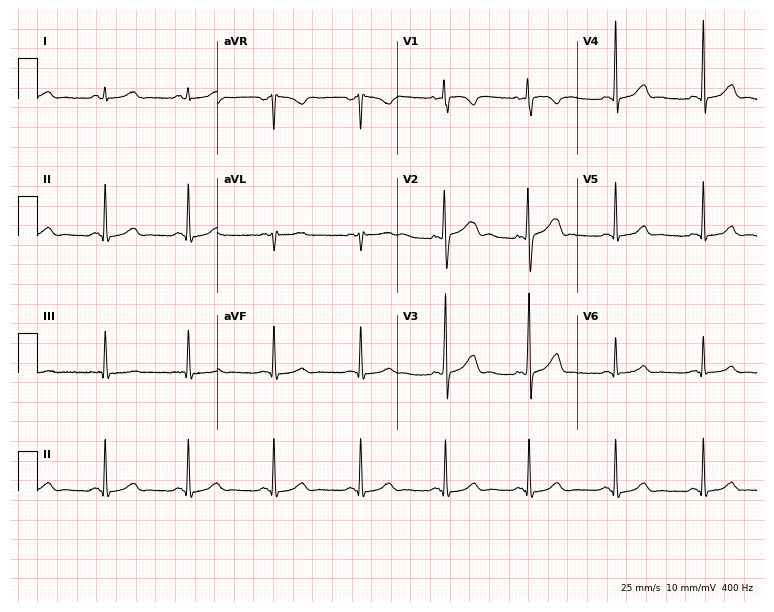
Resting 12-lead electrocardiogram. Patient: a woman, 31 years old. Read as a normal ECG.